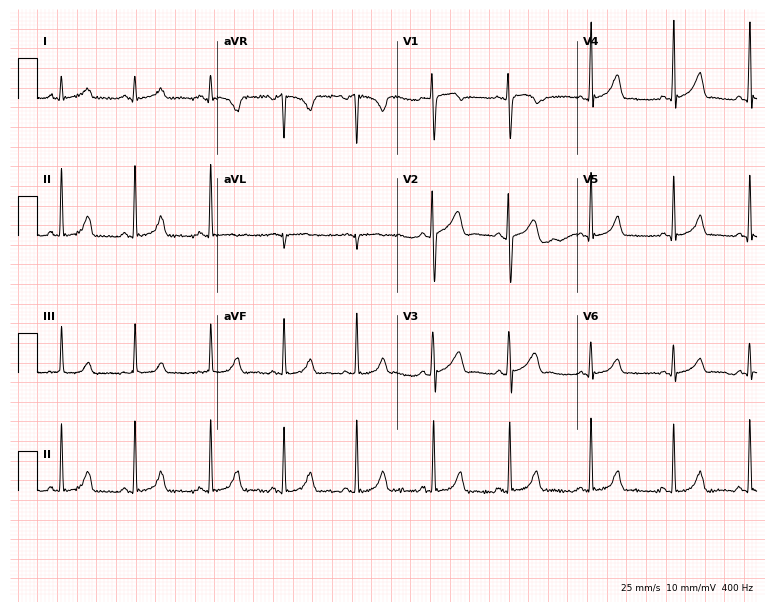
Resting 12-lead electrocardiogram. Patient: a 20-year-old woman. None of these six findings is recorded: first-degree AV block, right bundle branch block, left bundle branch block, sinus bradycardia, atrial fibrillation, sinus tachycardia. Findings outside these six are not listed.